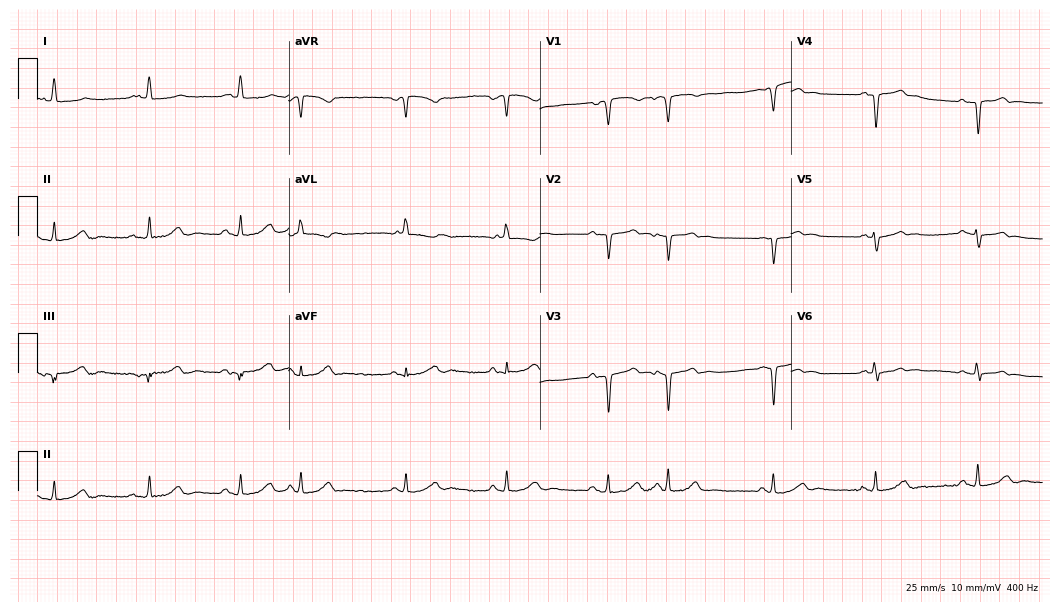
12-lead ECG (10.2-second recording at 400 Hz) from a 78-year-old male patient. Screened for six findings — first-degree AV block, right bundle branch block, left bundle branch block, sinus bradycardia, atrial fibrillation, sinus tachycardia — none is recorded.